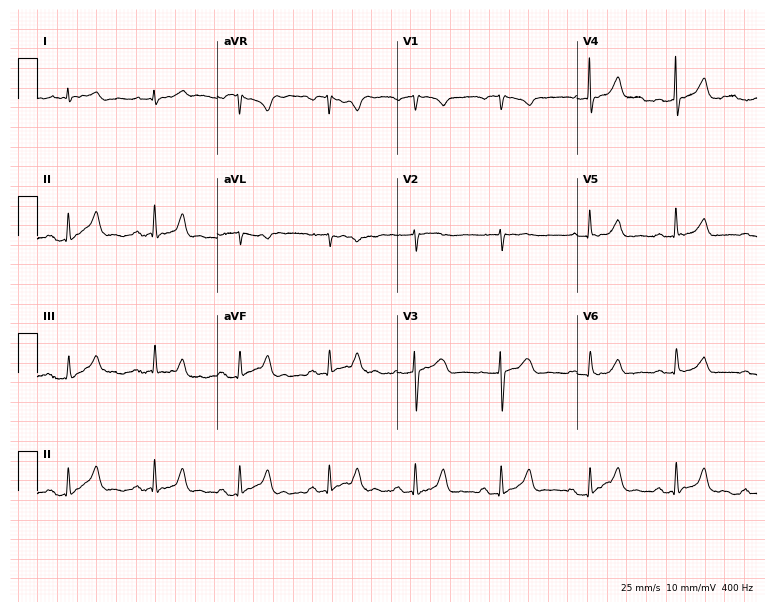
12-lead ECG from a male, 81 years old. Labelled as a normal ECG.